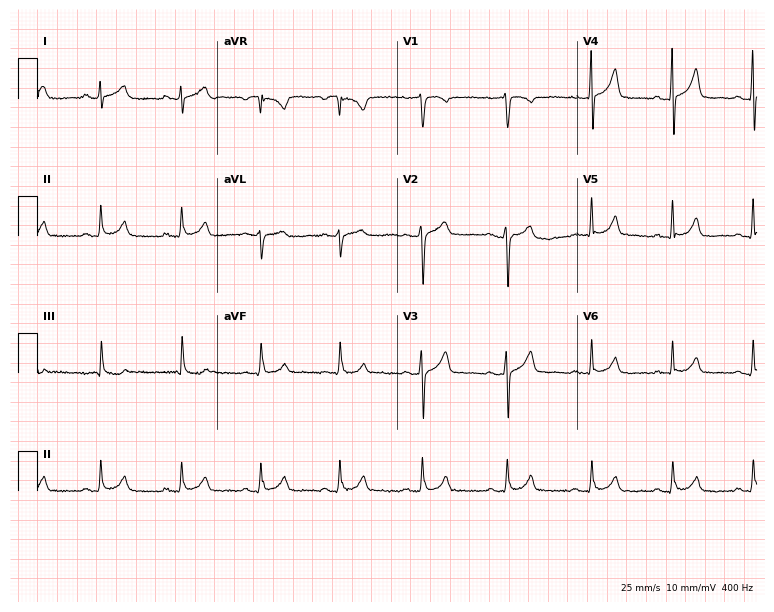
12-lead ECG from a female, 47 years old. Labelled as a normal ECG.